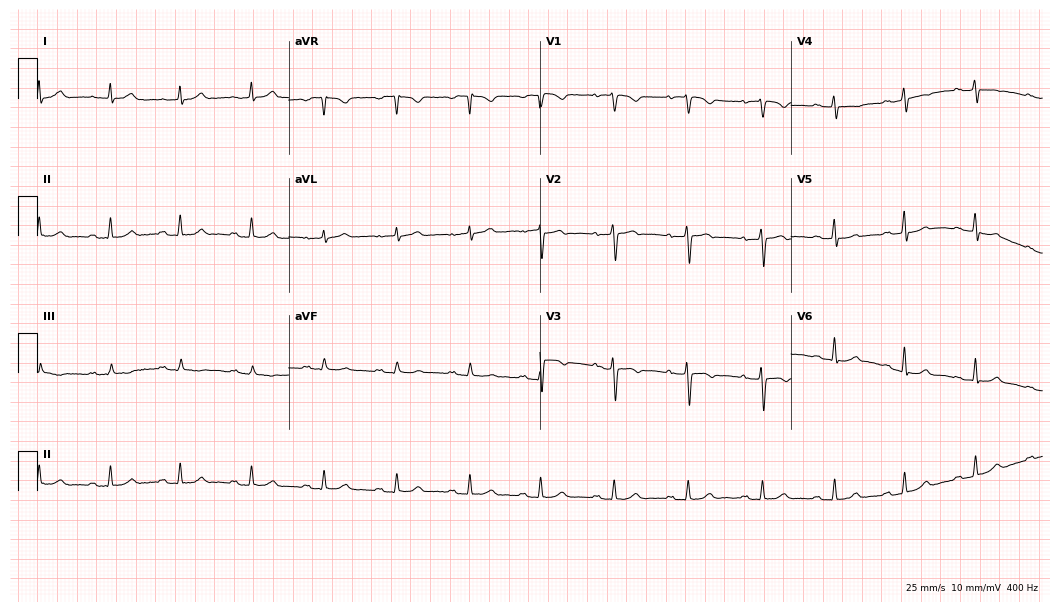
ECG — a 65-year-old female patient. Screened for six findings — first-degree AV block, right bundle branch block, left bundle branch block, sinus bradycardia, atrial fibrillation, sinus tachycardia — none is recorded.